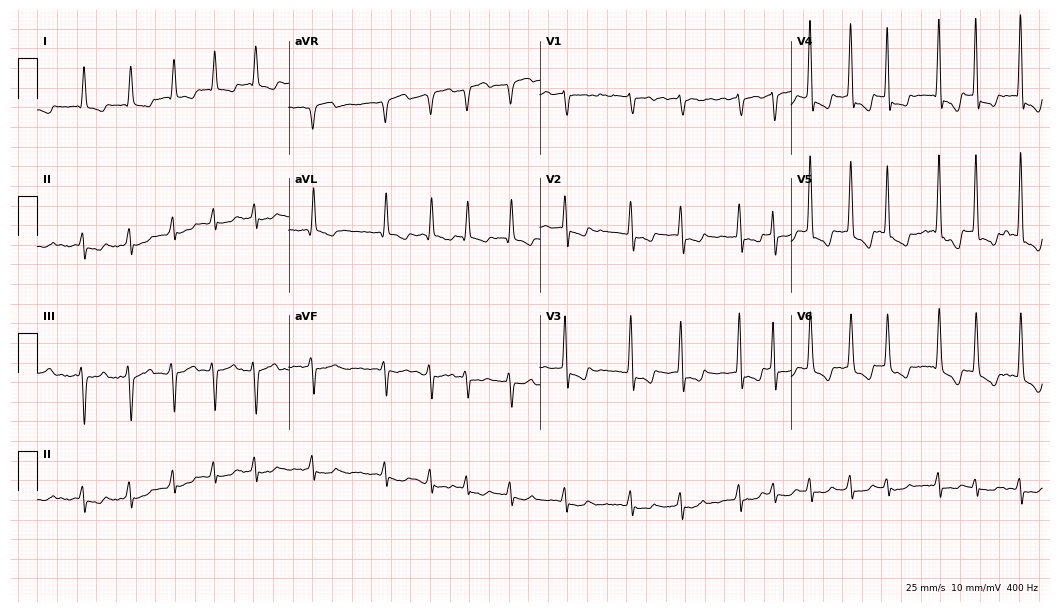
Resting 12-lead electrocardiogram. Patient: a 72-year-old man. The tracing shows atrial fibrillation.